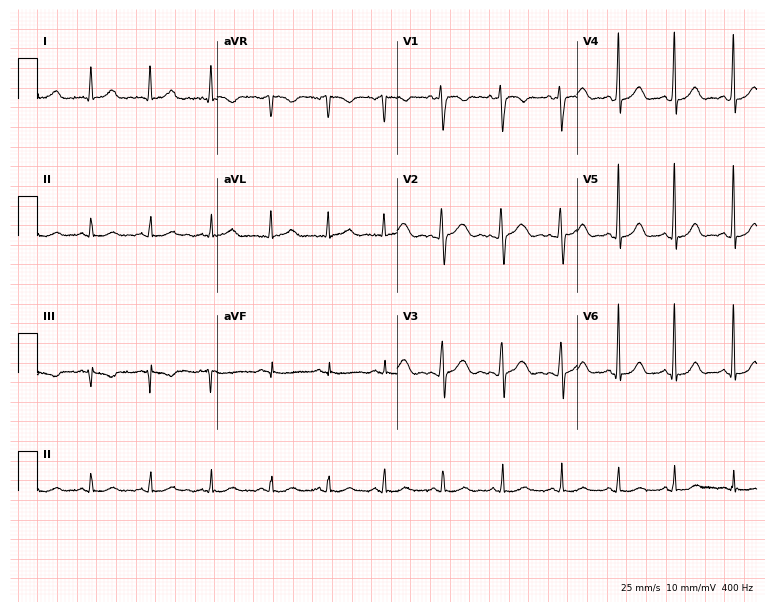
ECG — a female, 29 years old. Screened for six findings — first-degree AV block, right bundle branch block, left bundle branch block, sinus bradycardia, atrial fibrillation, sinus tachycardia — none is recorded.